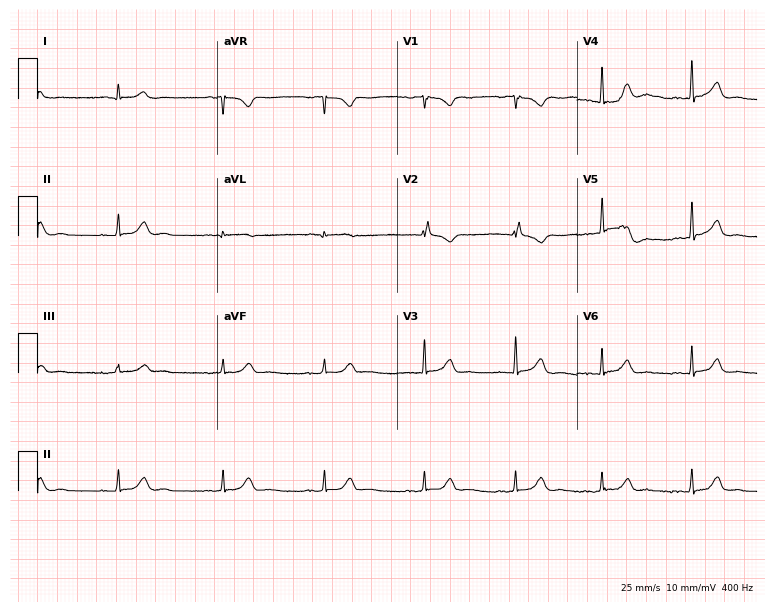
Resting 12-lead electrocardiogram (7.3-second recording at 400 Hz). Patient: a male, 21 years old. Read as a normal ECG.